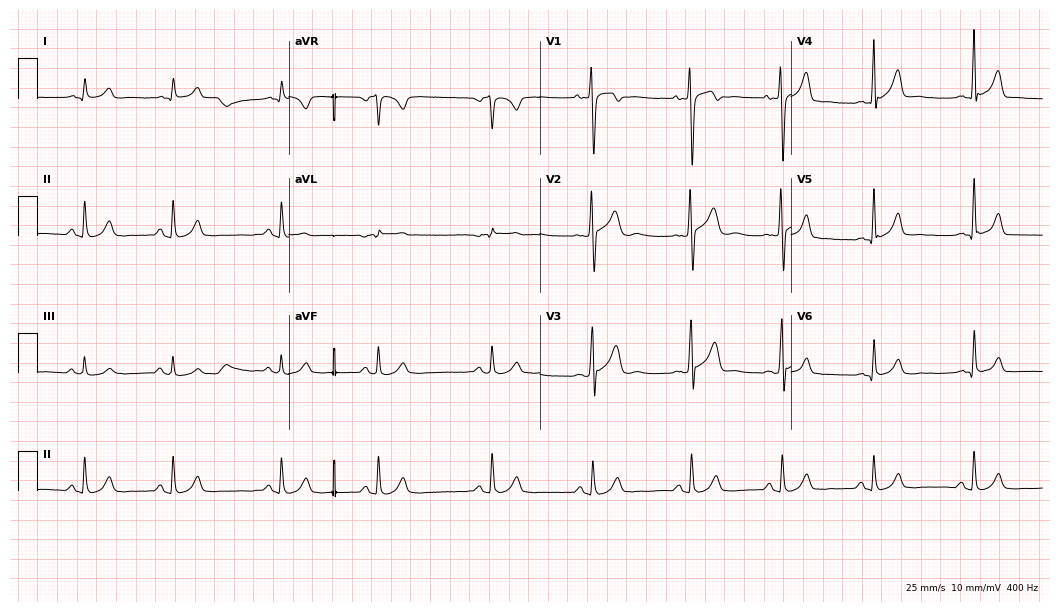
Resting 12-lead electrocardiogram (10.2-second recording at 400 Hz). Patient: a man, 26 years old. None of these six findings is recorded: first-degree AV block, right bundle branch block, left bundle branch block, sinus bradycardia, atrial fibrillation, sinus tachycardia.